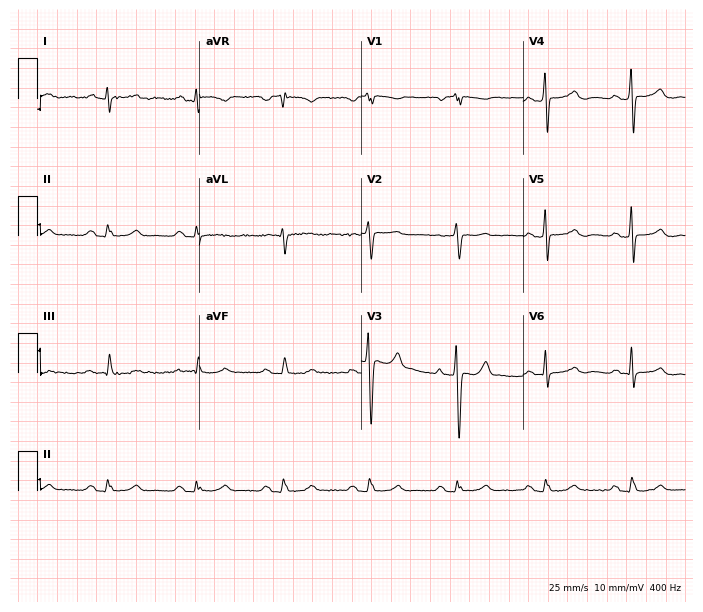
ECG (6.6-second recording at 400 Hz) — a 63-year-old female patient. Screened for six findings — first-degree AV block, right bundle branch block, left bundle branch block, sinus bradycardia, atrial fibrillation, sinus tachycardia — none is recorded.